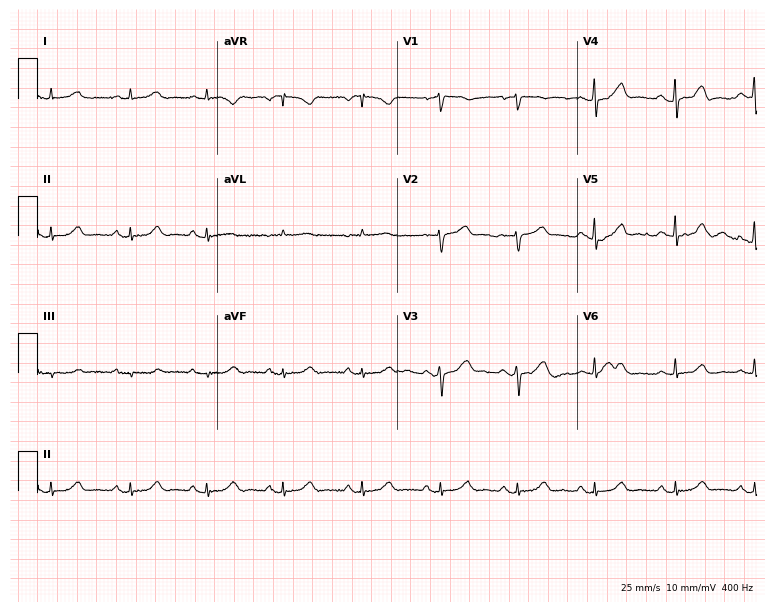
12-lead ECG from a woman, 47 years old. Recorded interpretation: within normal limits.